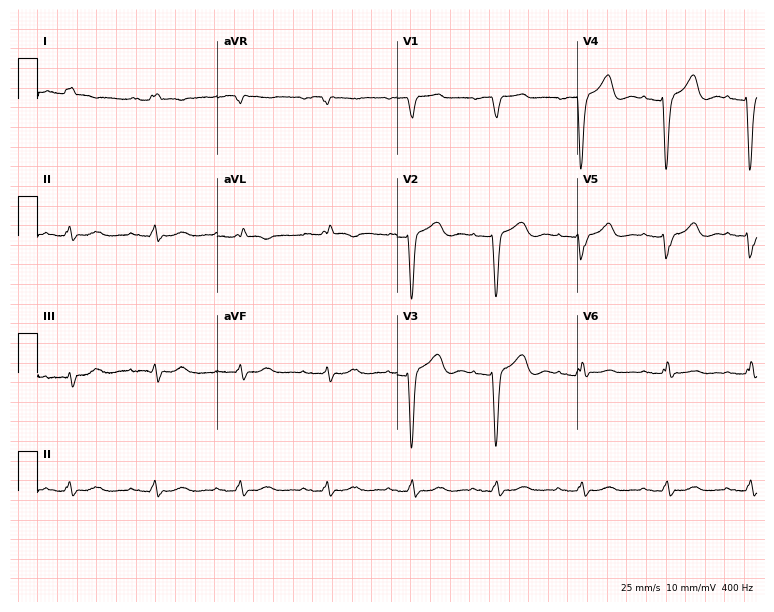
ECG (7.3-second recording at 400 Hz) — a female, 59 years old. Findings include left bundle branch block.